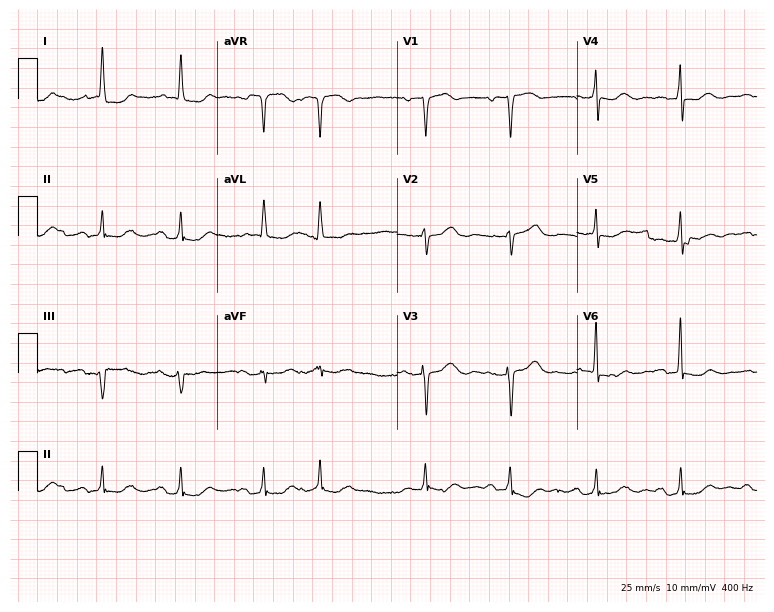
Electrocardiogram (7.3-second recording at 400 Hz), an 80-year-old woman. Interpretation includes first-degree AV block.